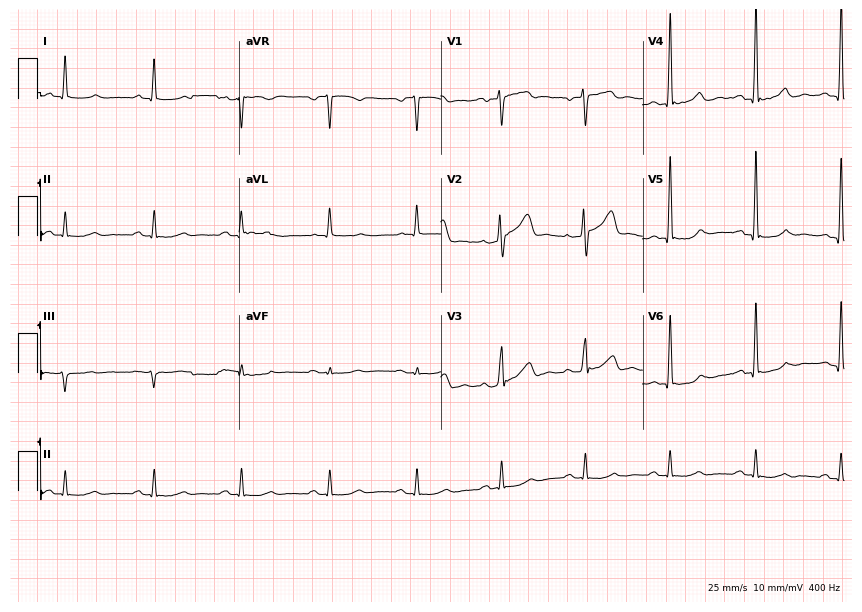
Standard 12-lead ECG recorded from a 64-year-old male patient. None of these six findings is recorded: first-degree AV block, right bundle branch block (RBBB), left bundle branch block (LBBB), sinus bradycardia, atrial fibrillation (AF), sinus tachycardia. Only these six findings were labelled.